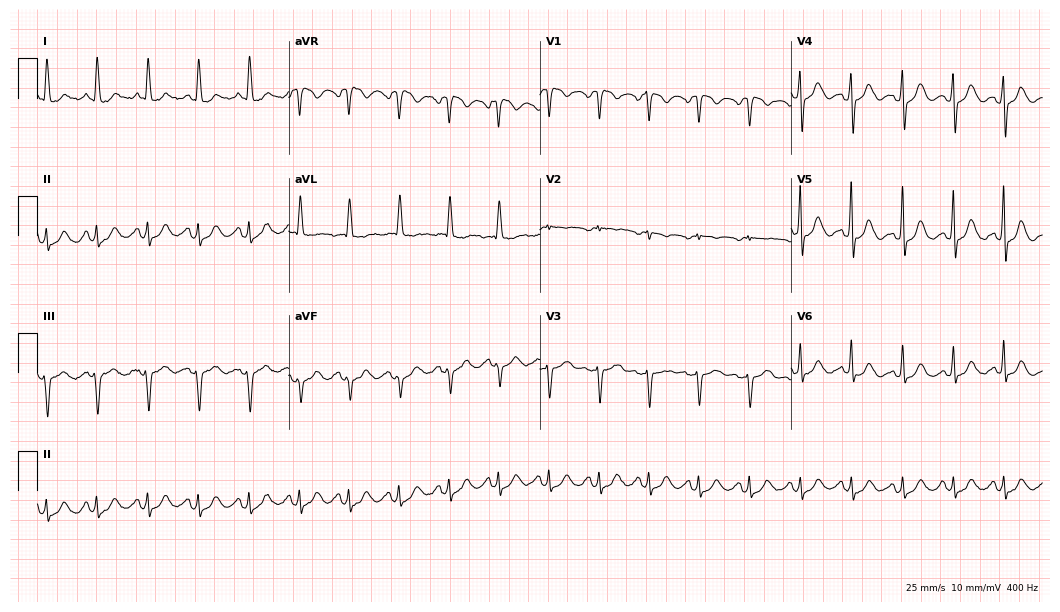
ECG (10.2-second recording at 400 Hz) — a woman, 70 years old. Findings include sinus tachycardia (a sinus rate of 100 beats per minute or more).